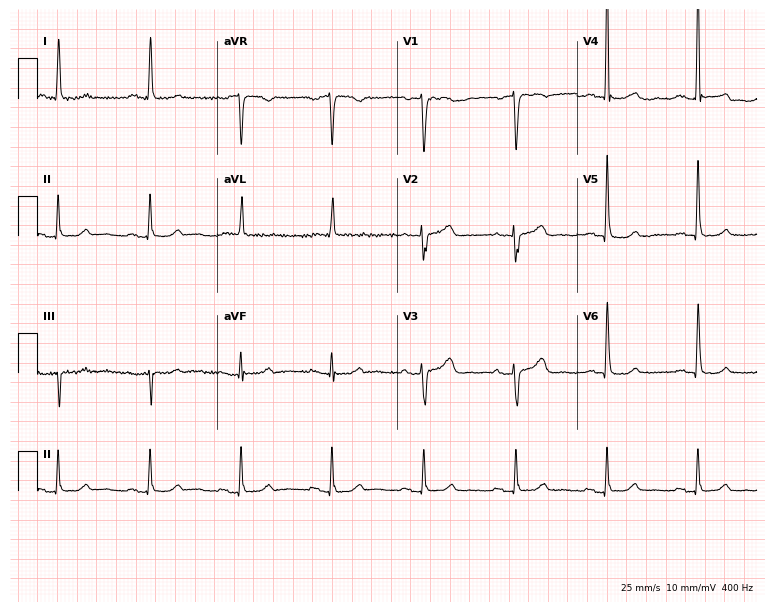
12-lead ECG from an 84-year-old female. Labelled as a normal ECG.